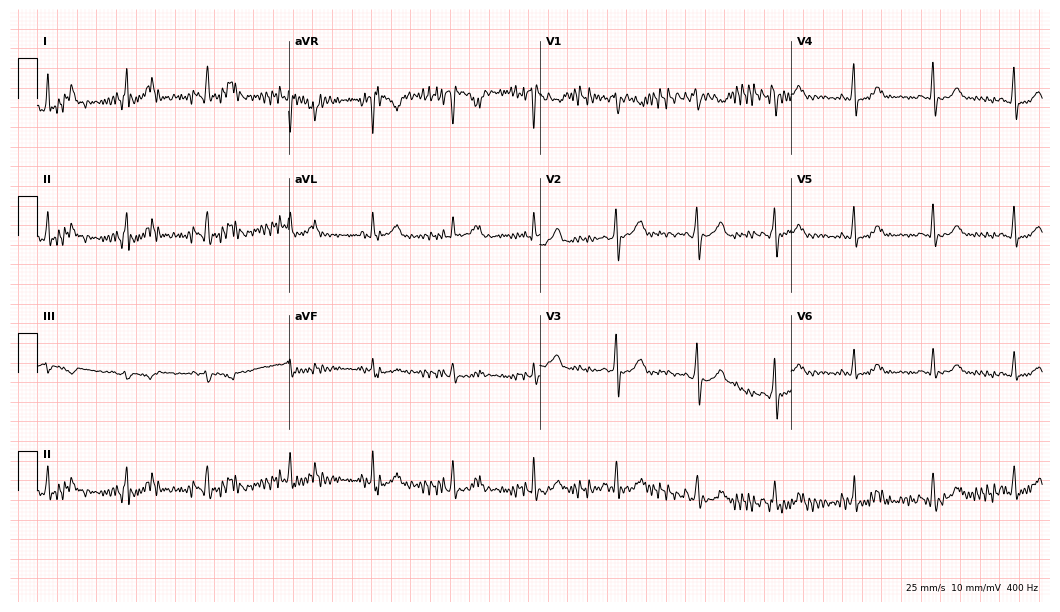
12-lead ECG from a female patient, 27 years old. Screened for six findings — first-degree AV block, right bundle branch block, left bundle branch block, sinus bradycardia, atrial fibrillation, sinus tachycardia — none is recorded.